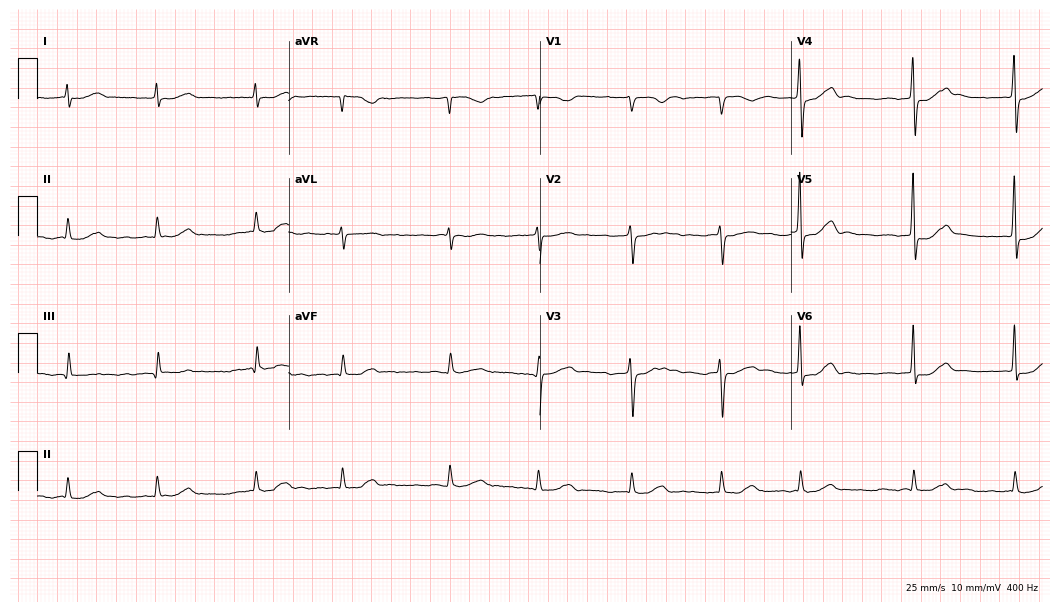
12-lead ECG from a 75-year-old man. Findings include atrial fibrillation (AF).